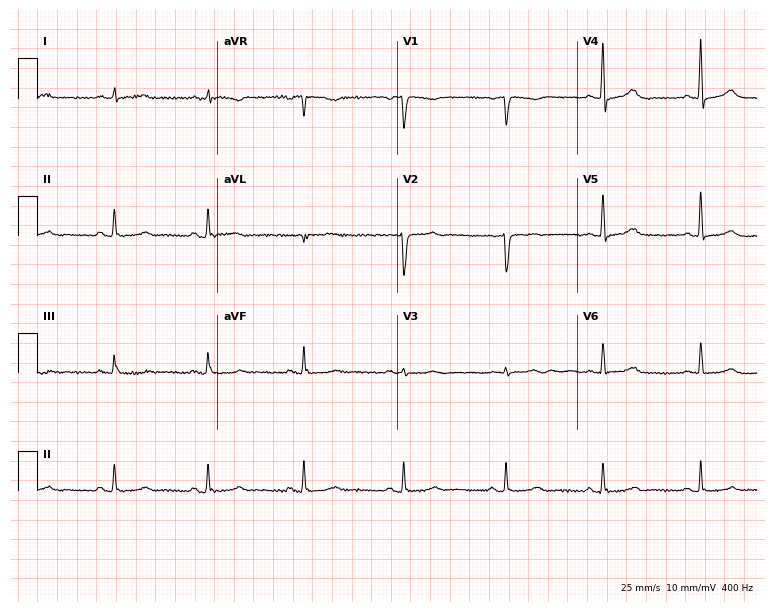
12-lead ECG (7.3-second recording at 400 Hz) from a 47-year-old female. Labelled as a normal ECG.